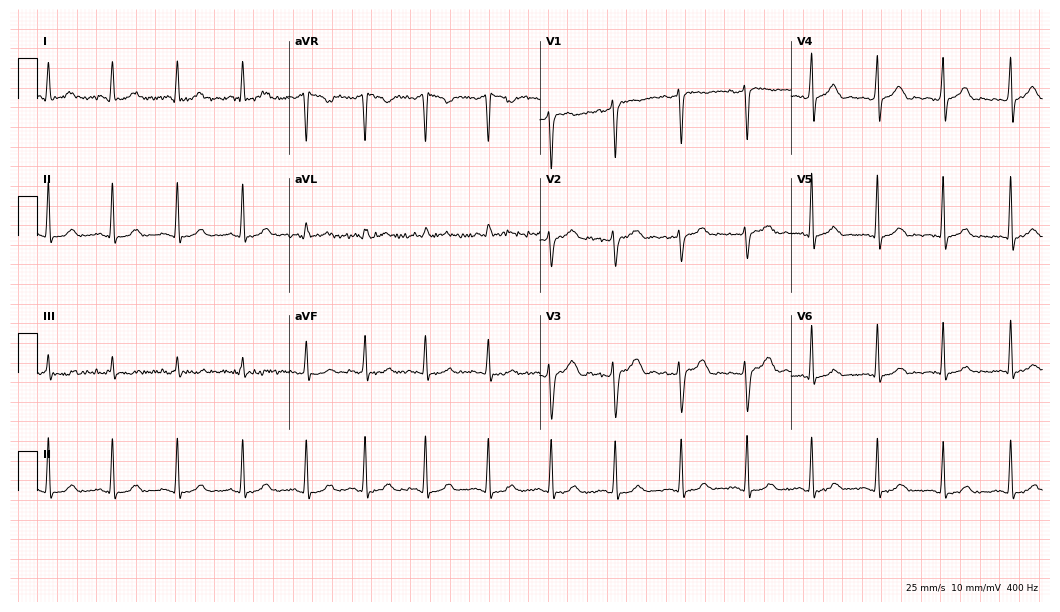
Electrocardiogram (10.2-second recording at 400 Hz), a 40-year-old female patient. Of the six screened findings (first-degree AV block, right bundle branch block (RBBB), left bundle branch block (LBBB), sinus bradycardia, atrial fibrillation (AF), sinus tachycardia), none is recorded.